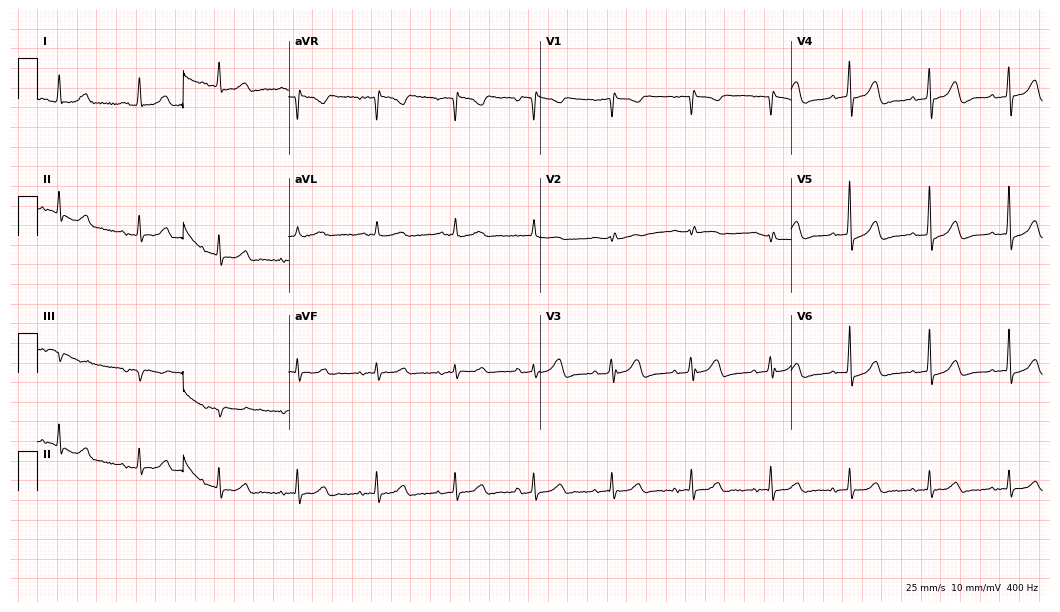
12-lead ECG from an 85-year-old woman. Labelled as a normal ECG.